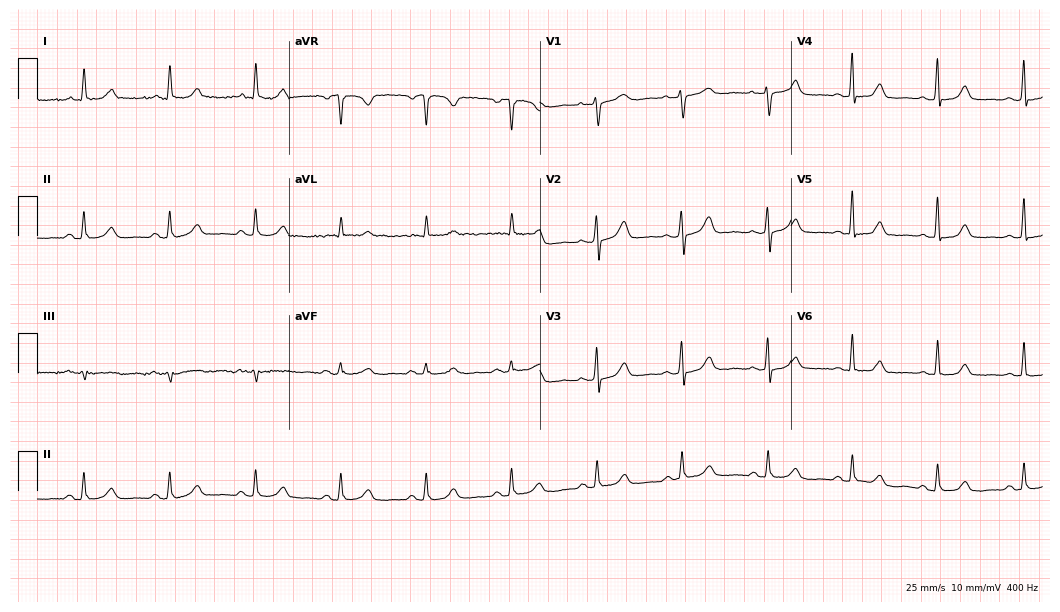
Resting 12-lead electrocardiogram. Patient: a female, 61 years old. Read as a normal ECG.